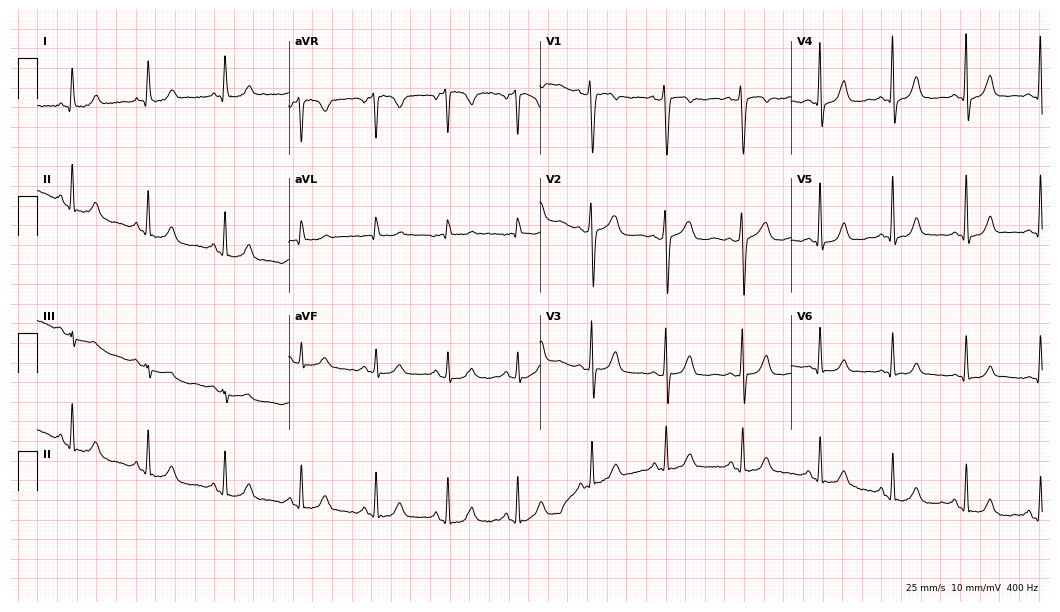
ECG — a 59-year-old female. Screened for six findings — first-degree AV block, right bundle branch block, left bundle branch block, sinus bradycardia, atrial fibrillation, sinus tachycardia — none is recorded.